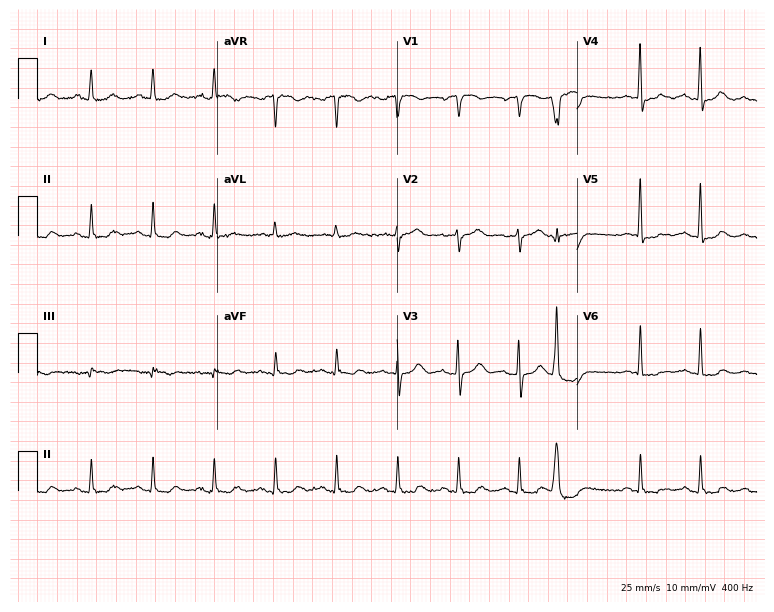
ECG — a woman, 81 years old. Screened for six findings — first-degree AV block, right bundle branch block (RBBB), left bundle branch block (LBBB), sinus bradycardia, atrial fibrillation (AF), sinus tachycardia — none is recorded. Only these six findings were labelled.